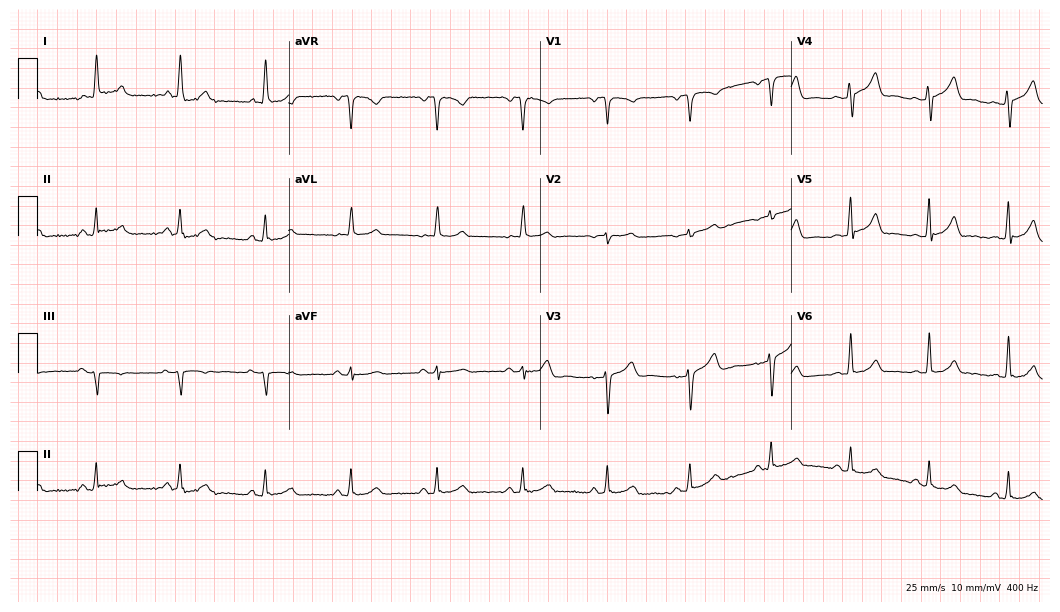
12-lead ECG (10.2-second recording at 400 Hz) from a 57-year-old man. Screened for six findings — first-degree AV block, right bundle branch block (RBBB), left bundle branch block (LBBB), sinus bradycardia, atrial fibrillation (AF), sinus tachycardia — none is recorded.